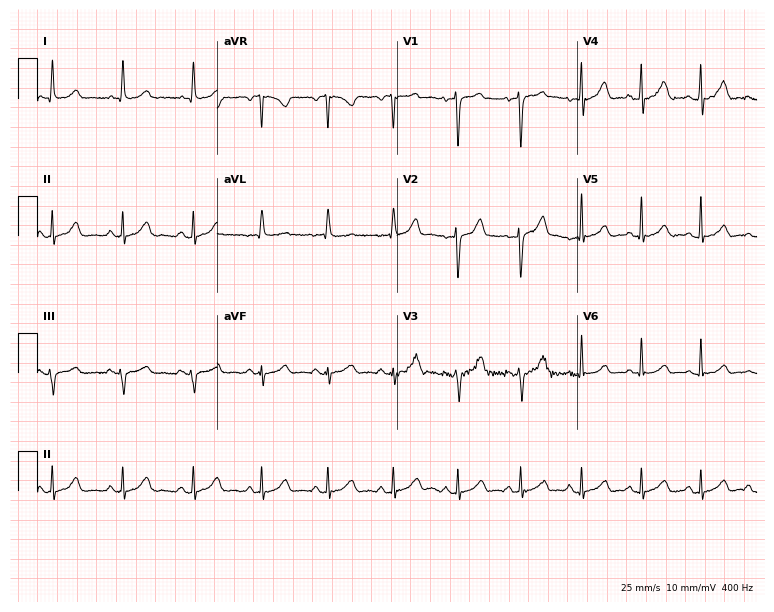
Resting 12-lead electrocardiogram (7.3-second recording at 400 Hz). Patient: a female, 51 years old. Read as a normal ECG.